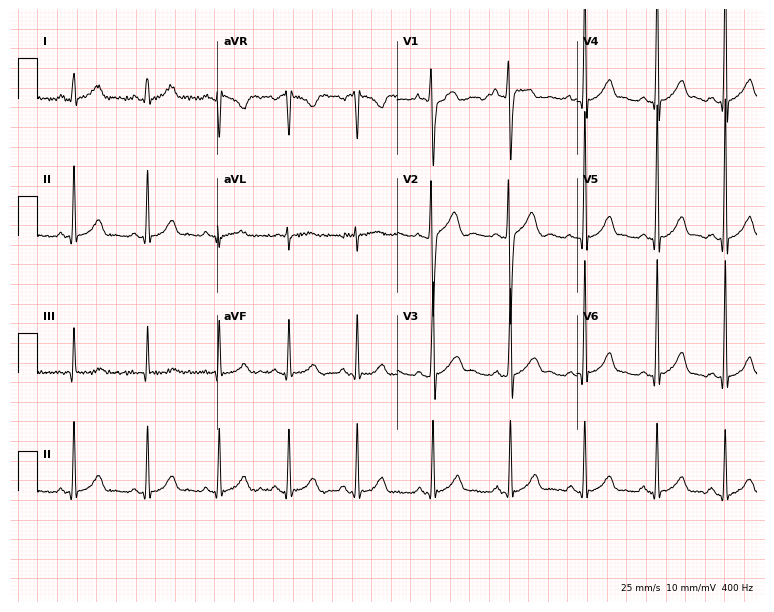
Resting 12-lead electrocardiogram (7.3-second recording at 400 Hz). Patient: a 17-year-old male. None of these six findings is recorded: first-degree AV block, right bundle branch block, left bundle branch block, sinus bradycardia, atrial fibrillation, sinus tachycardia. Findings outside these six are not listed.